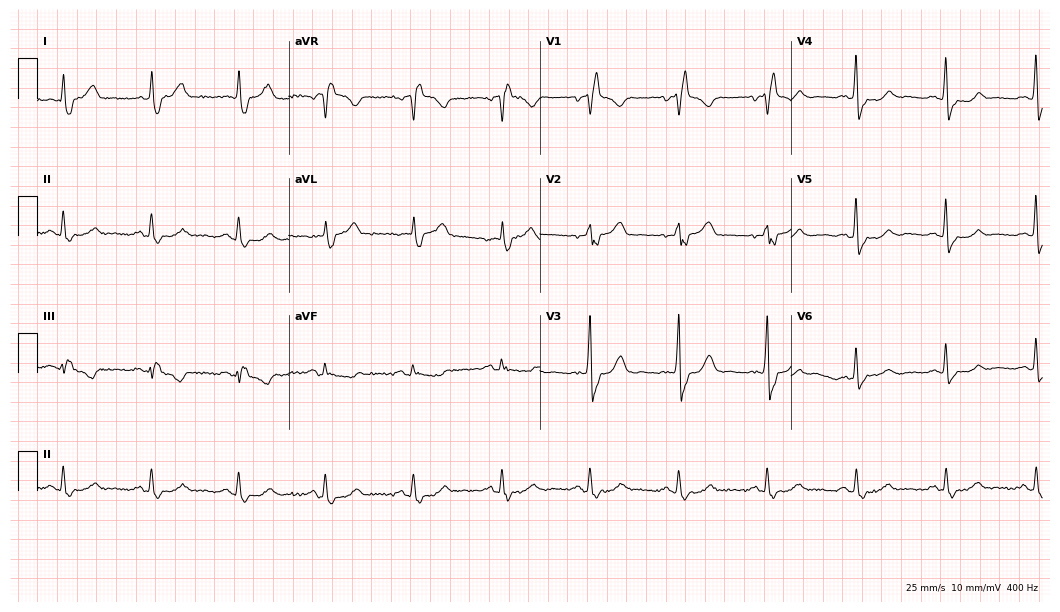
Standard 12-lead ECG recorded from an 80-year-old female patient (10.2-second recording at 400 Hz). The tracing shows right bundle branch block (RBBB).